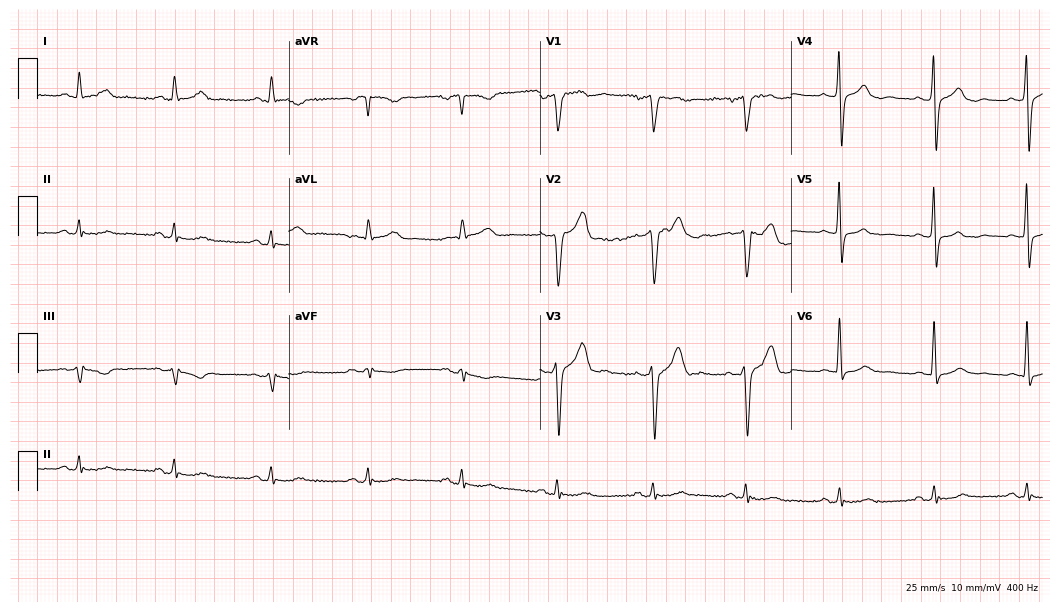
ECG (10.2-second recording at 400 Hz) — a male, 59 years old. Screened for six findings — first-degree AV block, right bundle branch block (RBBB), left bundle branch block (LBBB), sinus bradycardia, atrial fibrillation (AF), sinus tachycardia — none is recorded. Other findings, if any, are not listed.